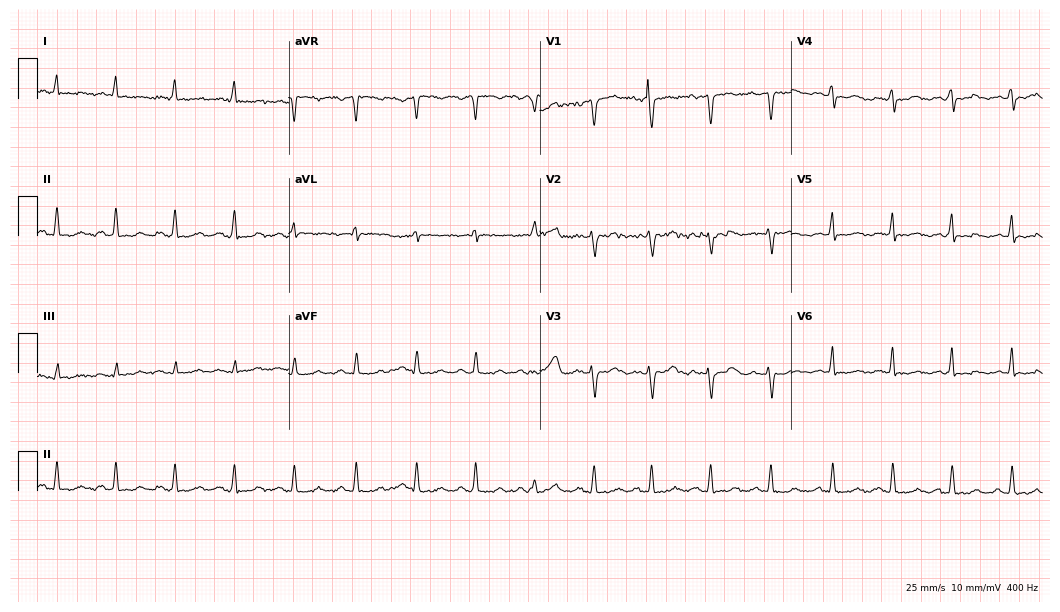
Electrocardiogram (10.2-second recording at 400 Hz), a 50-year-old male. Overall reading on record: normal ECG.